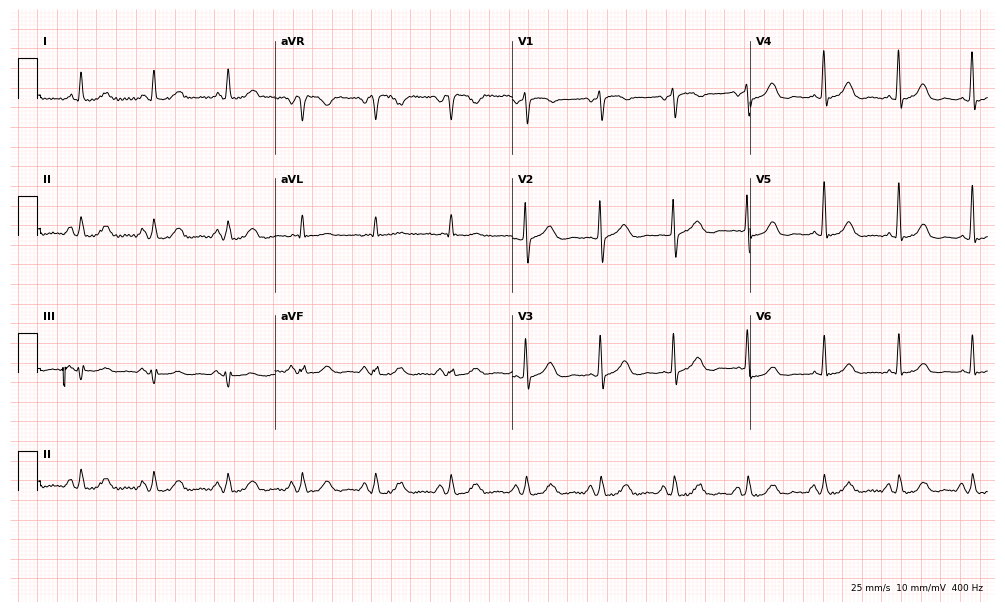
Resting 12-lead electrocardiogram (9.7-second recording at 400 Hz). Patient: a female, 75 years old. Read as a normal ECG.